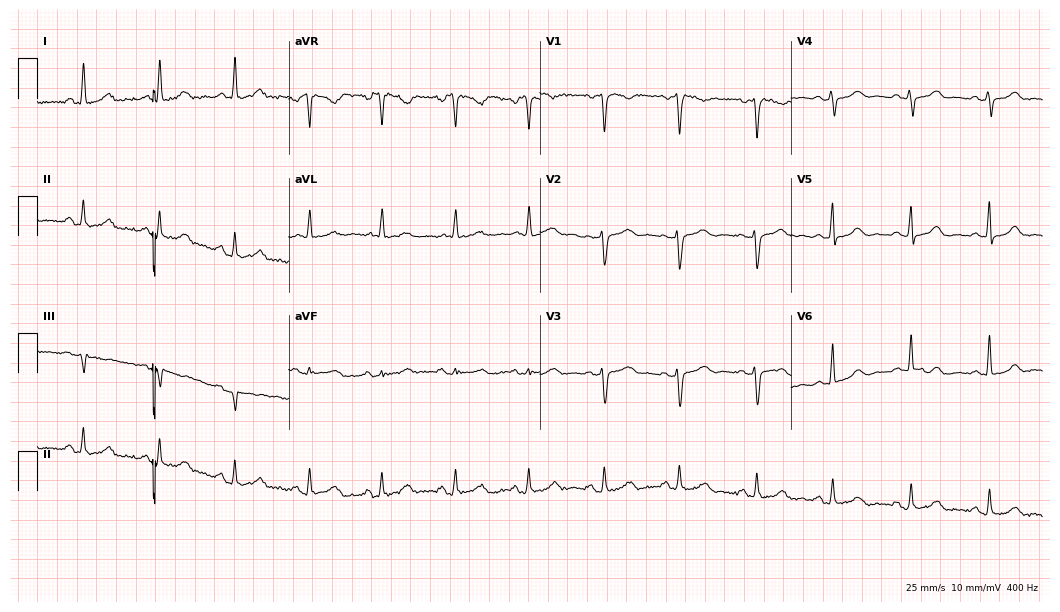
Resting 12-lead electrocardiogram. Patient: a female, 45 years old. Read as a normal ECG.